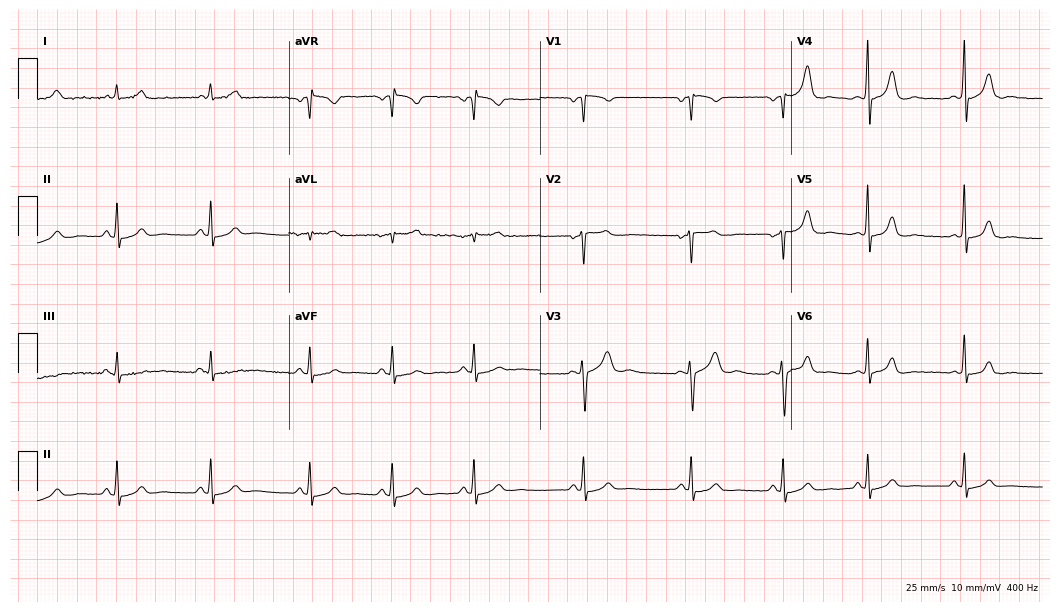
12-lead ECG (10.2-second recording at 400 Hz) from a female patient, 28 years old. Labelled as a normal ECG.